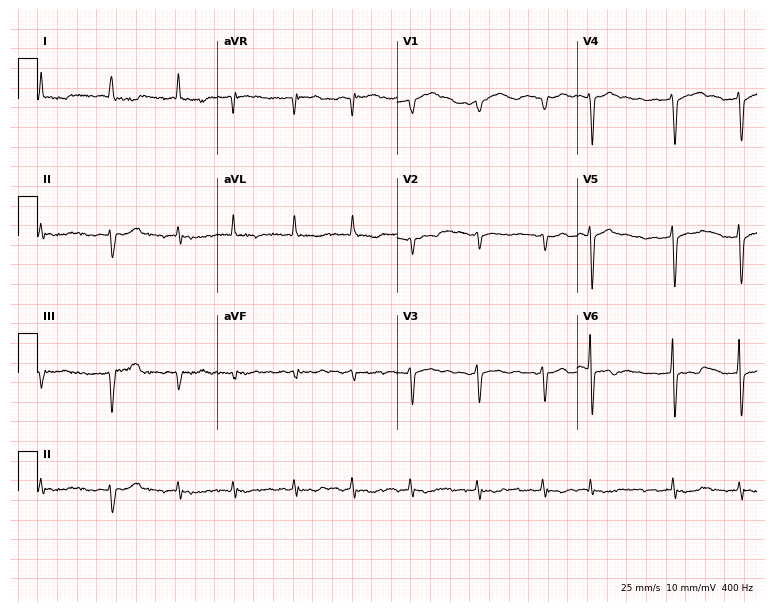
ECG (7.3-second recording at 400 Hz) — an 85-year-old woman. Findings include atrial fibrillation (AF).